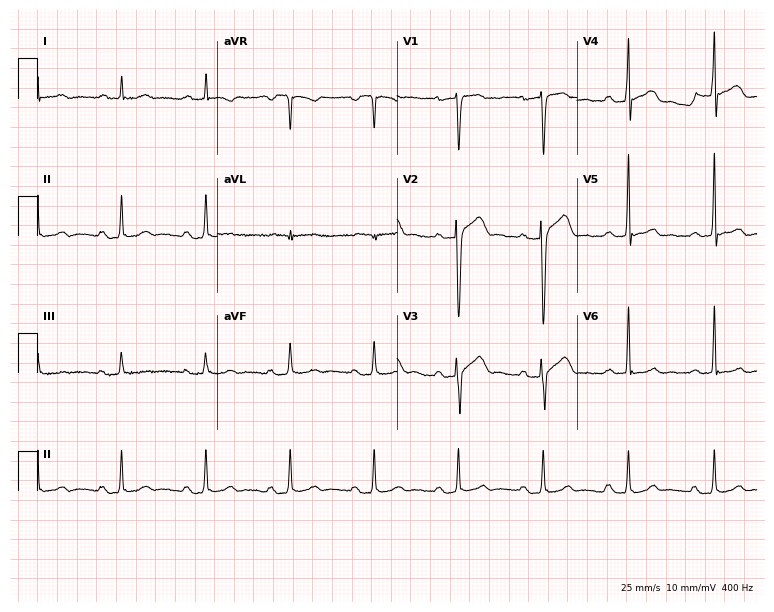
12-lead ECG from a female patient, 56 years old (7.3-second recording at 400 Hz). Recorded interpretation: within normal limits.